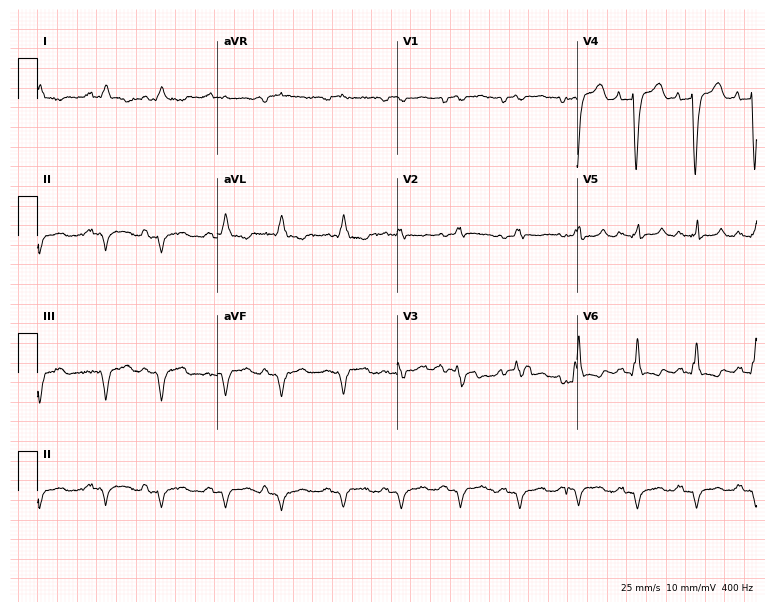
Standard 12-lead ECG recorded from a 45-year-old male patient. None of these six findings is recorded: first-degree AV block, right bundle branch block, left bundle branch block, sinus bradycardia, atrial fibrillation, sinus tachycardia. Other findings, if any, are not listed.